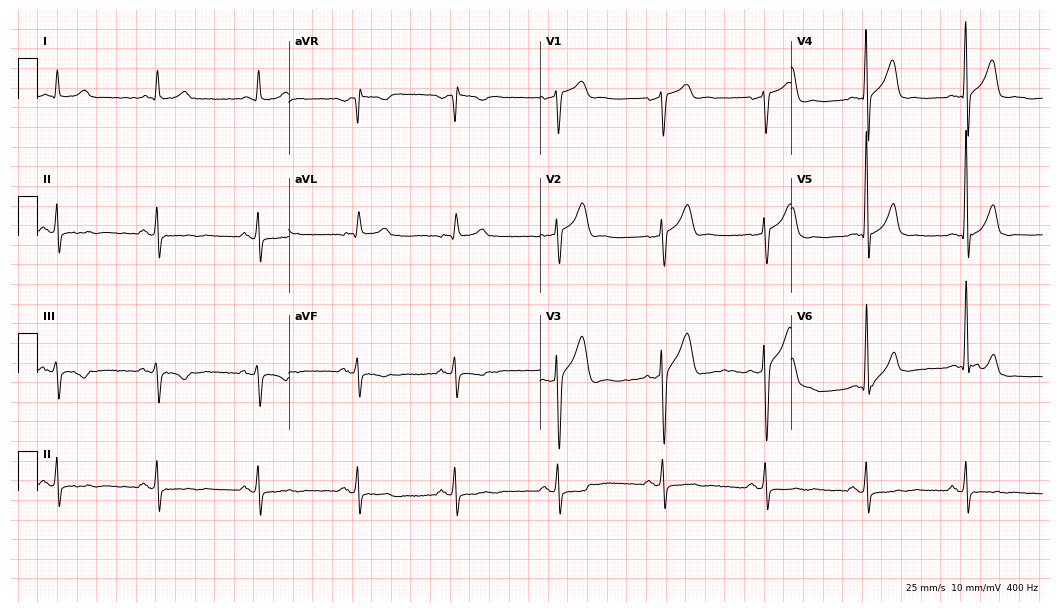
12-lead ECG (10.2-second recording at 400 Hz) from a 54-year-old man. Labelled as a normal ECG.